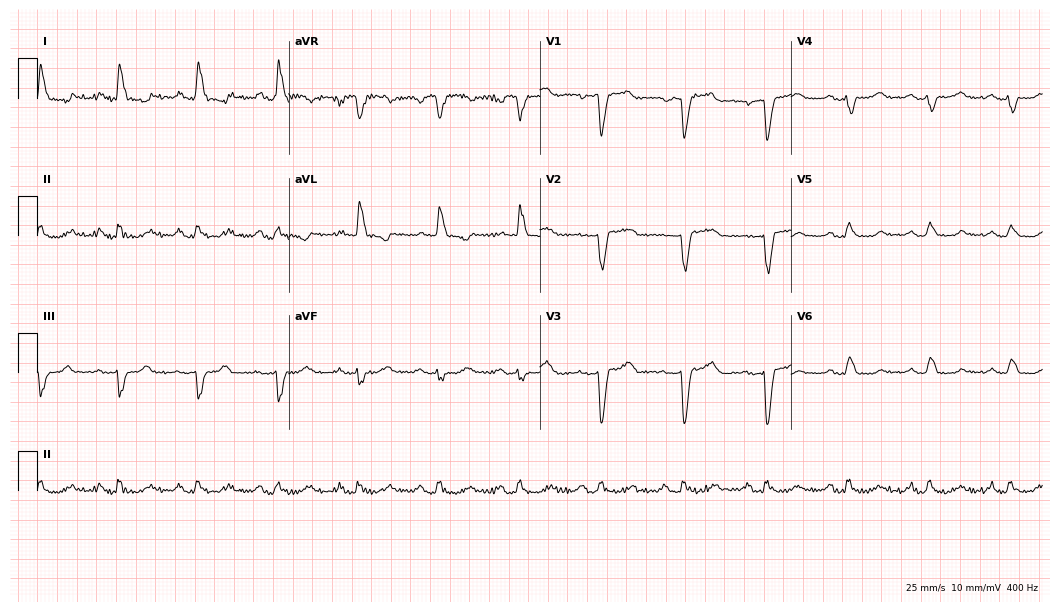
Standard 12-lead ECG recorded from a female patient, 60 years old. The tracing shows left bundle branch block.